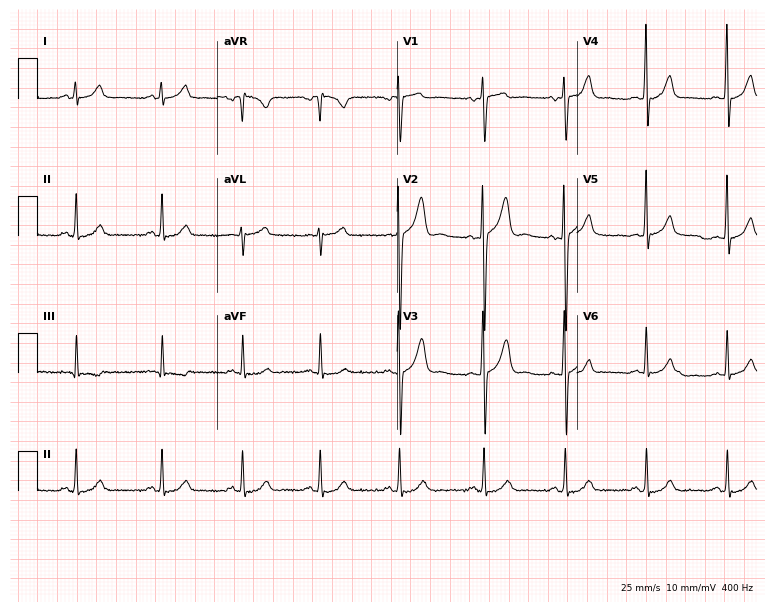
Electrocardiogram (7.3-second recording at 400 Hz), a 25-year-old male patient. Overall reading on record: normal ECG.